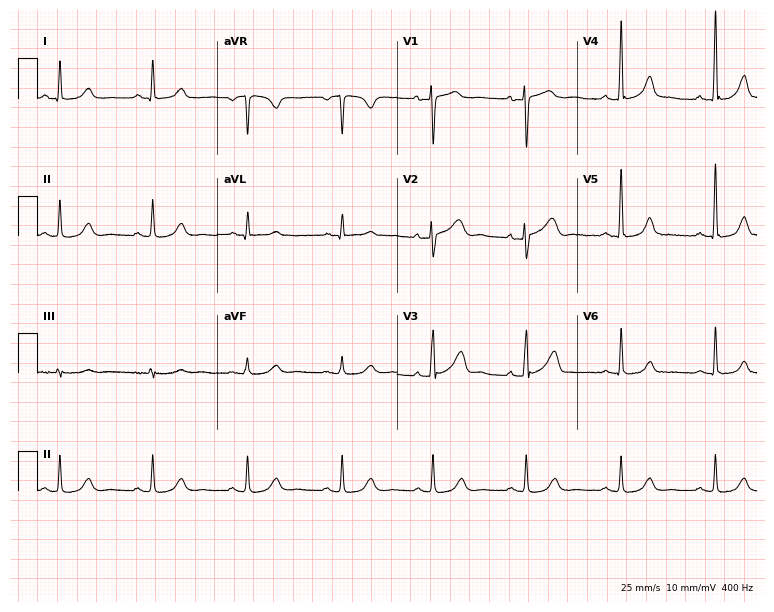
Resting 12-lead electrocardiogram (7.3-second recording at 400 Hz). Patient: a female, 49 years old. None of these six findings is recorded: first-degree AV block, right bundle branch block, left bundle branch block, sinus bradycardia, atrial fibrillation, sinus tachycardia.